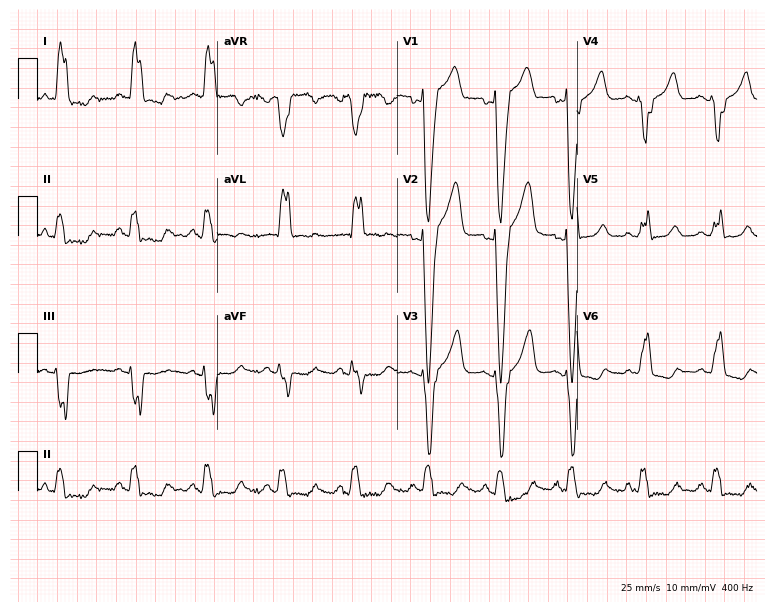
12-lead ECG from a 50-year-old female. Shows left bundle branch block.